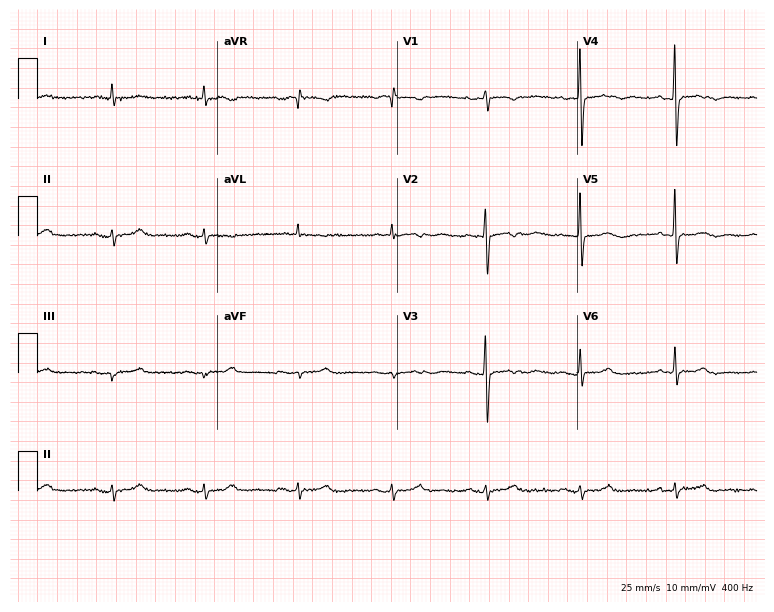
Resting 12-lead electrocardiogram (7.3-second recording at 400 Hz). Patient: an 83-year-old woman. None of these six findings is recorded: first-degree AV block, right bundle branch block, left bundle branch block, sinus bradycardia, atrial fibrillation, sinus tachycardia. Findings outside these six are not listed.